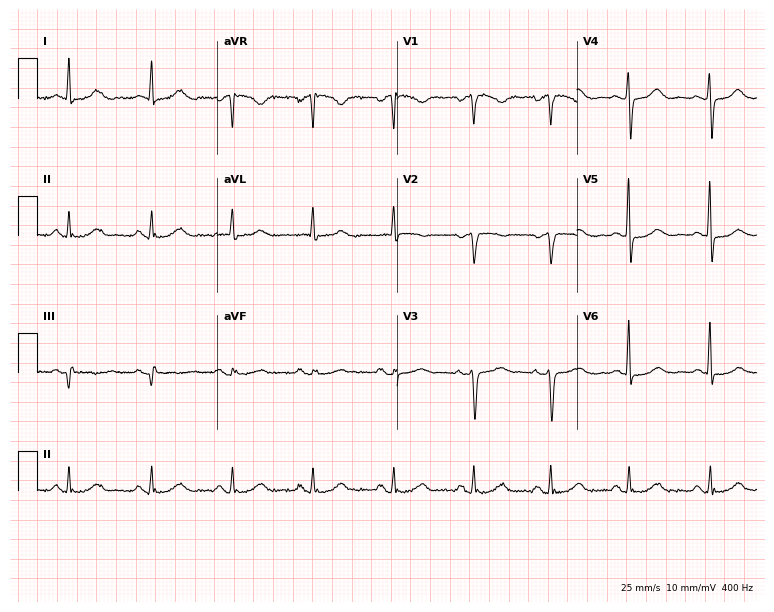
12-lead ECG (7.3-second recording at 400 Hz) from a female, 70 years old. Screened for six findings — first-degree AV block, right bundle branch block, left bundle branch block, sinus bradycardia, atrial fibrillation, sinus tachycardia — none is recorded. Other findings, if any, are not listed.